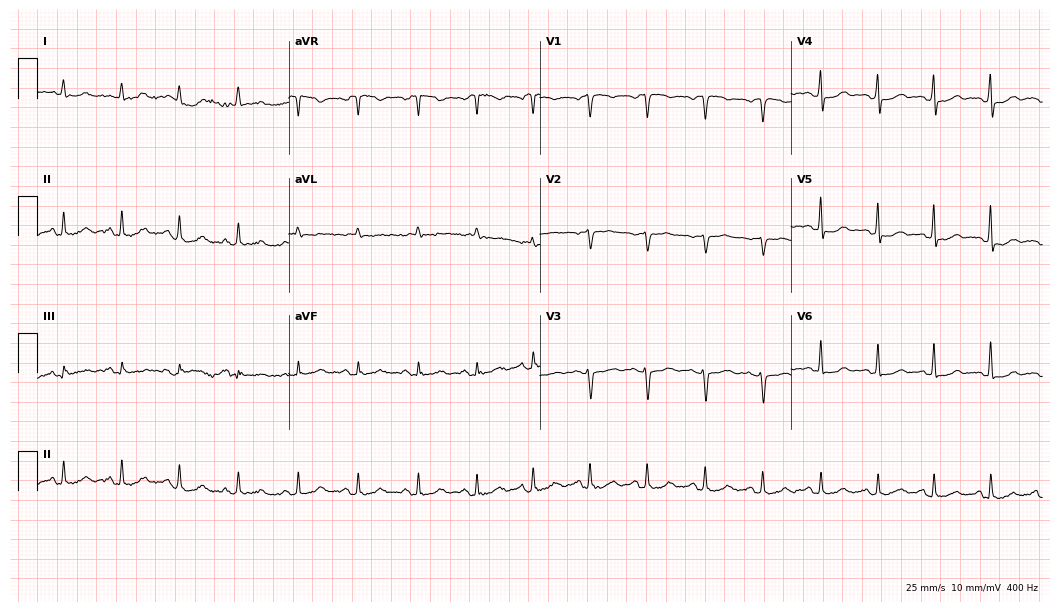
ECG — a female, 62 years old. Labelled as a normal ECG.